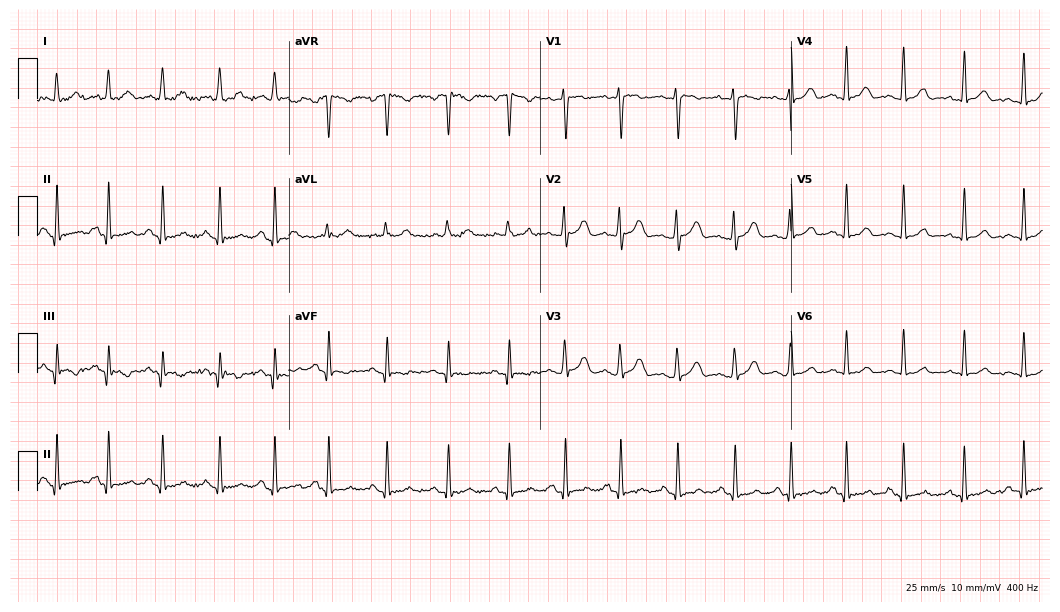
ECG (10.2-second recording at 400 Hz) — a 28-year-old male. Findings include sinus tachycardia (a sinus rate of 100 beats per minute or more).